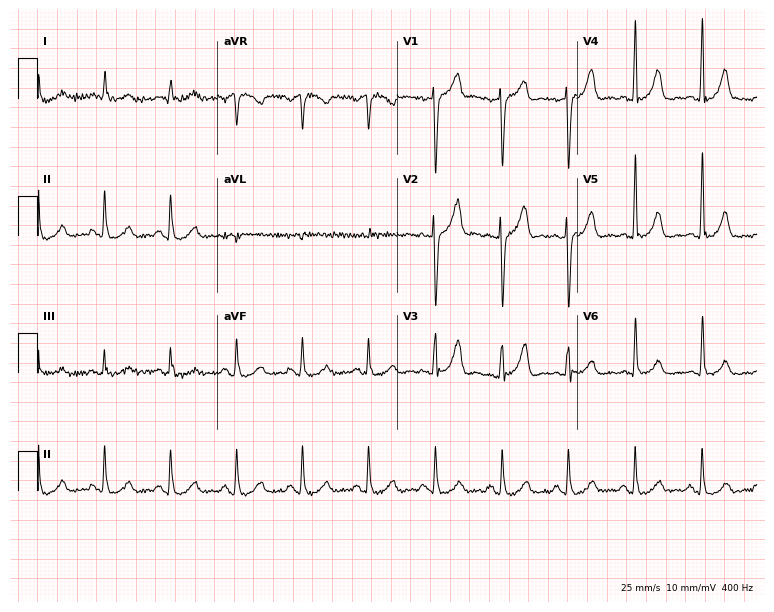
12-lead ECG from a 62-year-old female patient. Recorded interpretation: within normal limits.